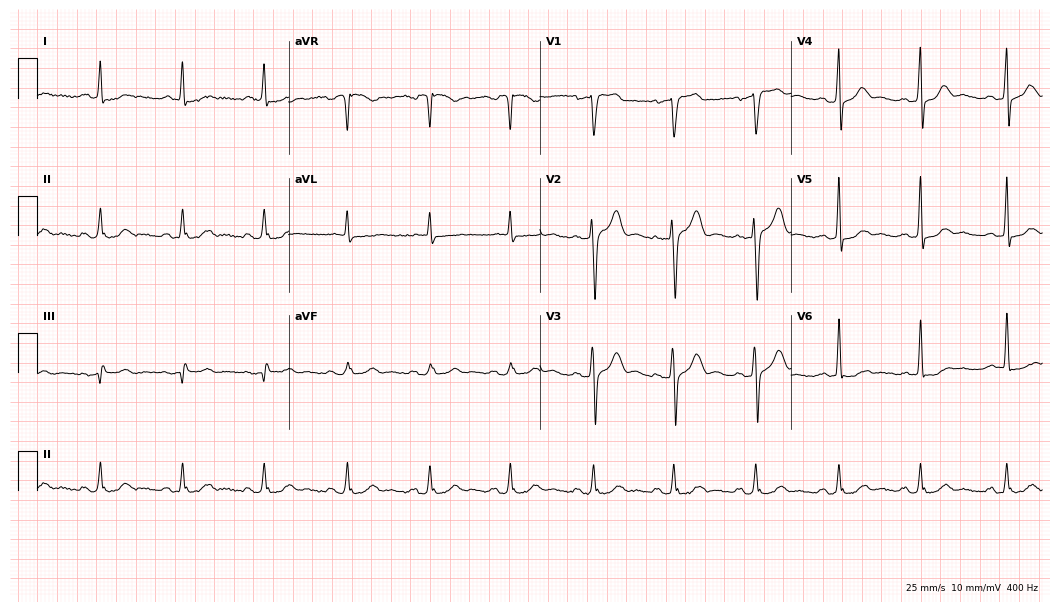
ECG — a male, 40 years old. Screened for six findings — first-degree AV block, right bundle branch block, left bundle branch block, sinus bradycardia, atrial fibrillation, sinus tachycardia — none is recorded.